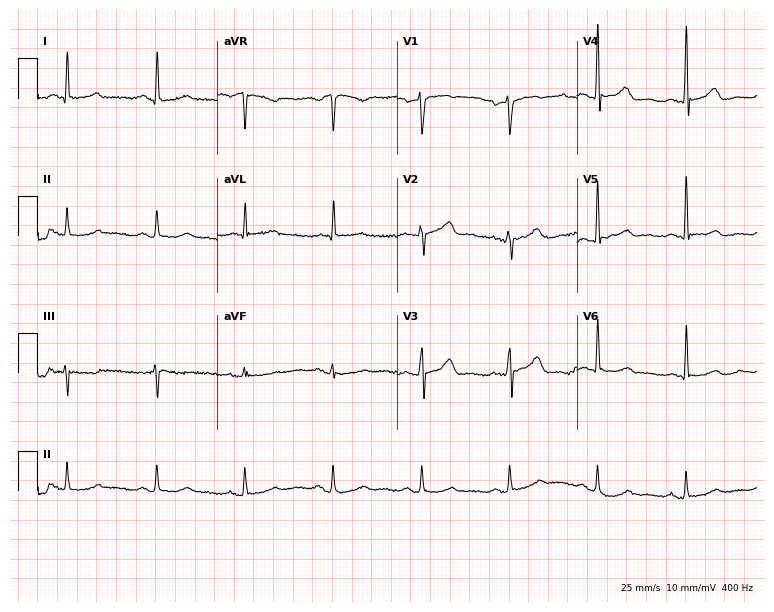
Standard 12-lead ECG recorded from a female patient, 53 years old (7.3-second recording at 400 Hz). None of these six findings is recorded: first-degree AV block, right bundle branch block, left bundle branch block, sinus bradycardia, atrial fibrillation, sinus tachycardia.